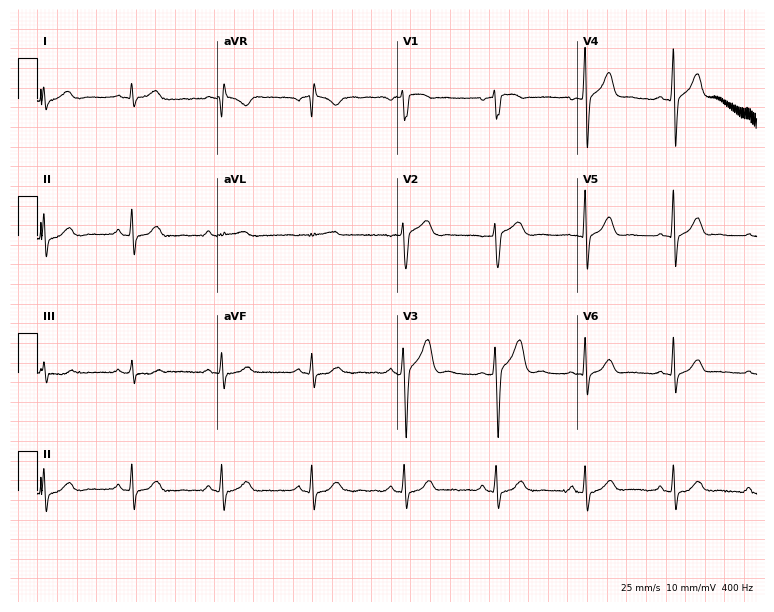
12-lead ECG from a 47-year-old male patient. Recorded interpretation: within normal limits.